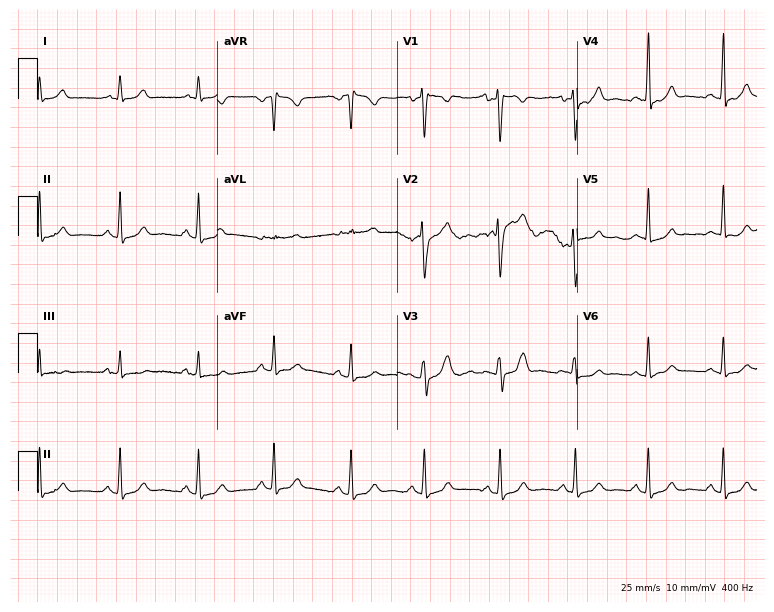
Standard 12-lead ECG recorded from a 47-year-old woman (7.3-second recording at 400 Hz). None of these six findings is recorded: first-degree AV block, right bundle branch block, left bundle branch block, sinus bradycardia, atrial fibrillation, sinus tachycardia. Other findings, if any, are not listed.